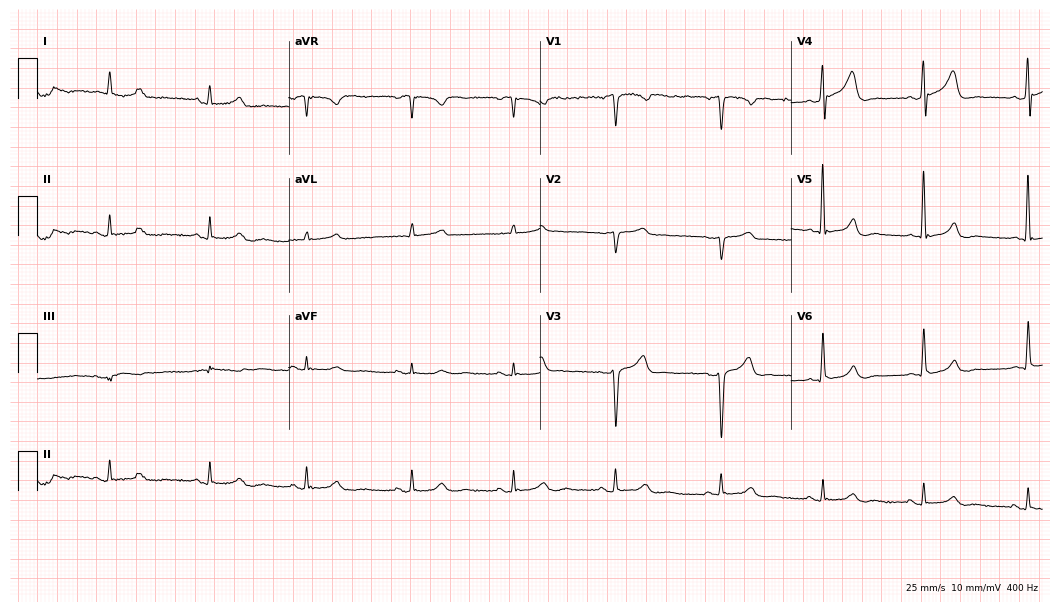
Resting 12-lead electrocardiogram. Patient: a male, 54 years old. Read as a normal ECG.